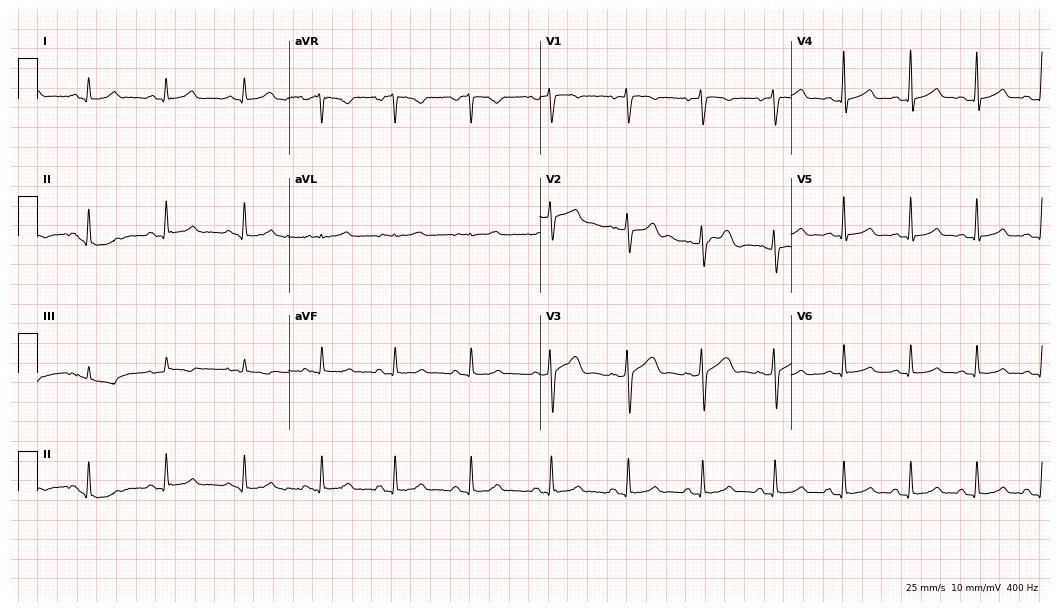
Electrocardiogram, a 30-year-old man. Of the six screened findings (first-degree AV block, right bundle branch block (RBBB), left bundle branch block (LBBB), sinus bradycardia, atrial fibrillation (AF), sinus tachycardia), none is recorded.